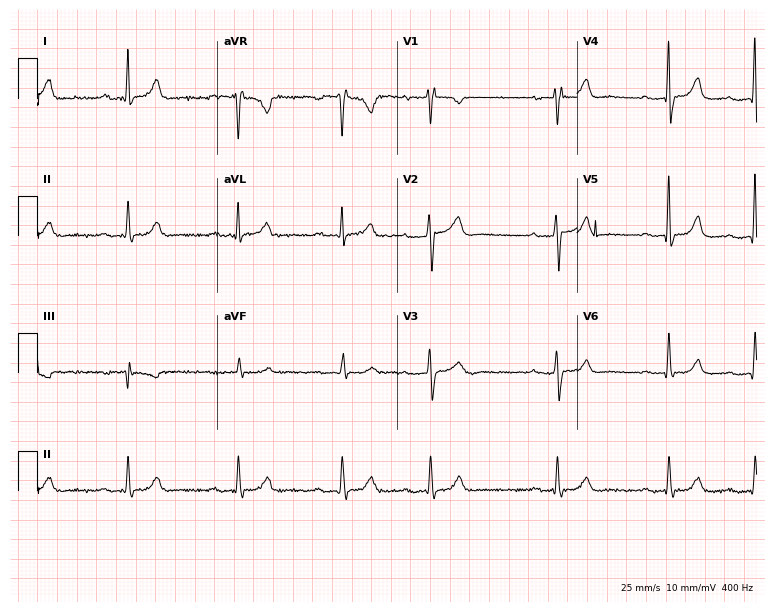
12-lead ECG from a female, 65 years old. Shows first-degree AV block.